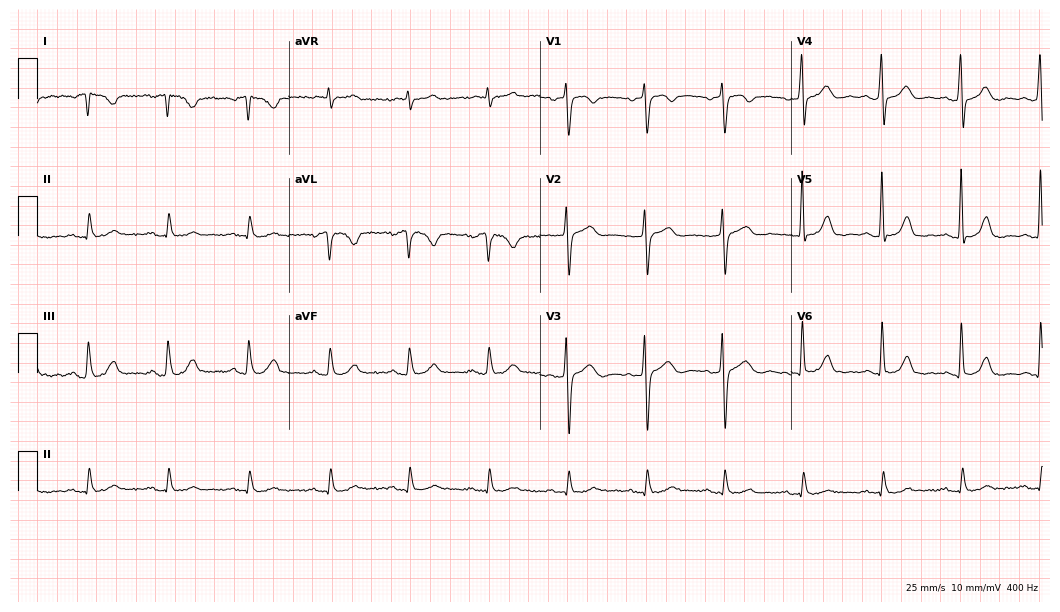
ECG (10.2-second recording at 400 Hz) — a 72-year-old man. Screened for six findings — first-degree AV block, right bundle branch block (RBBB), left bundle branch block (LBBB), sinus bradycardia, atrial fibrillation (AF), sinus tachycardia — none is recorded. Findings outside these six are not listed.